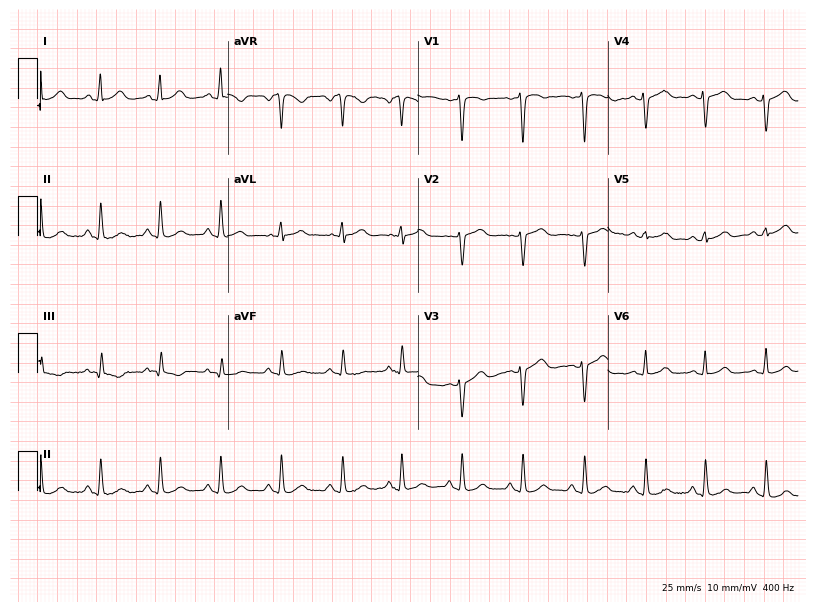
Standard 12-lead ECG recorded from a 43-year-old woman. Read as a normal ECG.